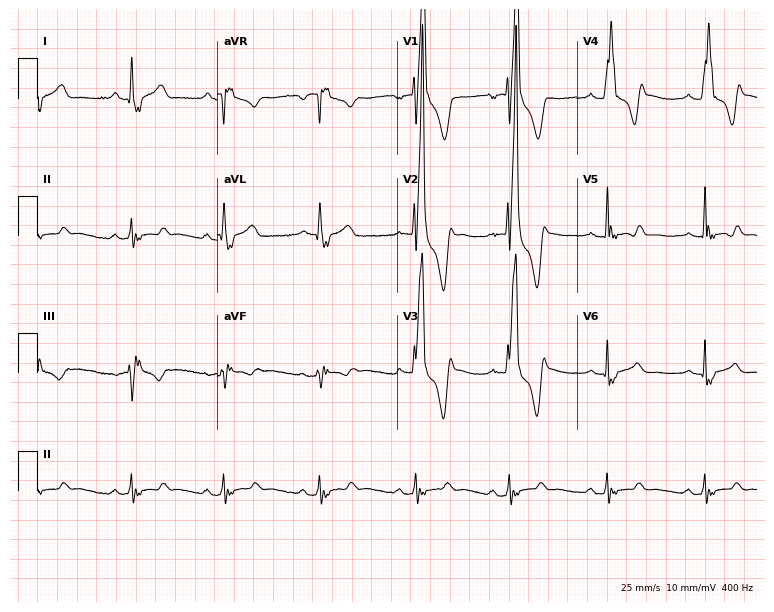
Resting 12-lead electrocardiogram (7.3-second recording at 400 Hz). Patient: a male, 17 years old. The tracing shows right bundle branch block.